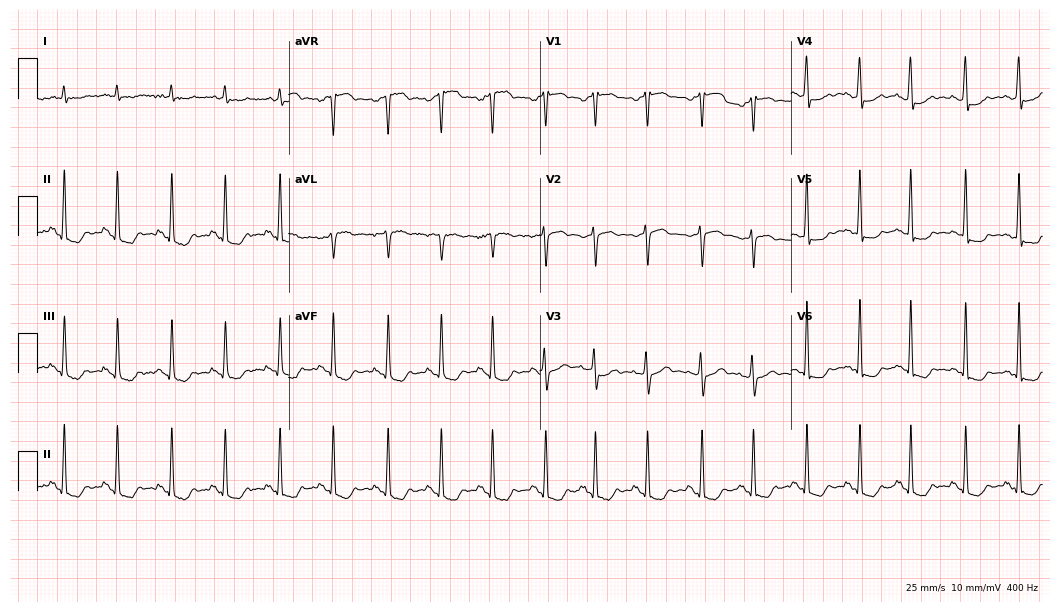
Resting 12-lead electrocardiogram (10.2-second recording at 400 Hz). Patient: a male, 82 years old. None of these six findings is recorded: first-degree AV block, right bundle branch block, left bundle branch block, sinus bradycardia, atrial fibrillation, sinus tachycardia. Other findings, if any, are not listed.